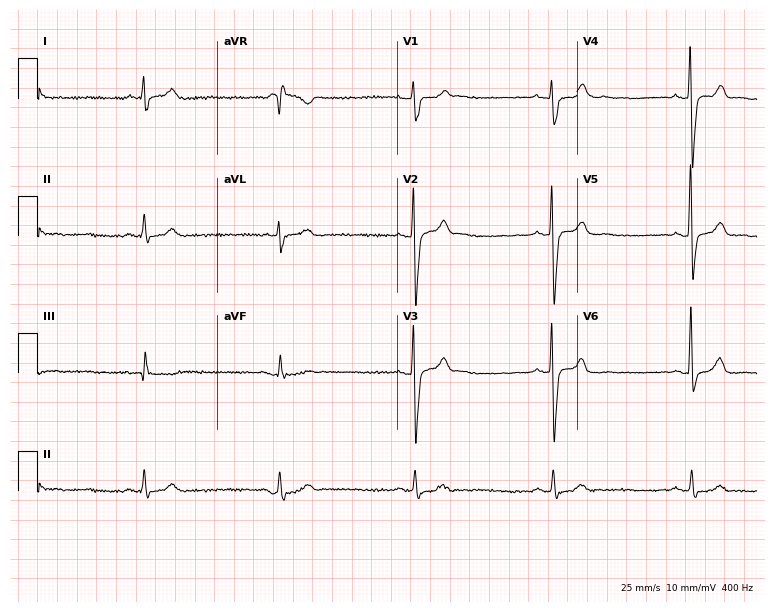
Electrocardiogram (7.3-second recording at 400 Hz), a man, 50 years old. Interpretation includes sinus bradycardia (a sinus rate of 50 beats per minute or less).